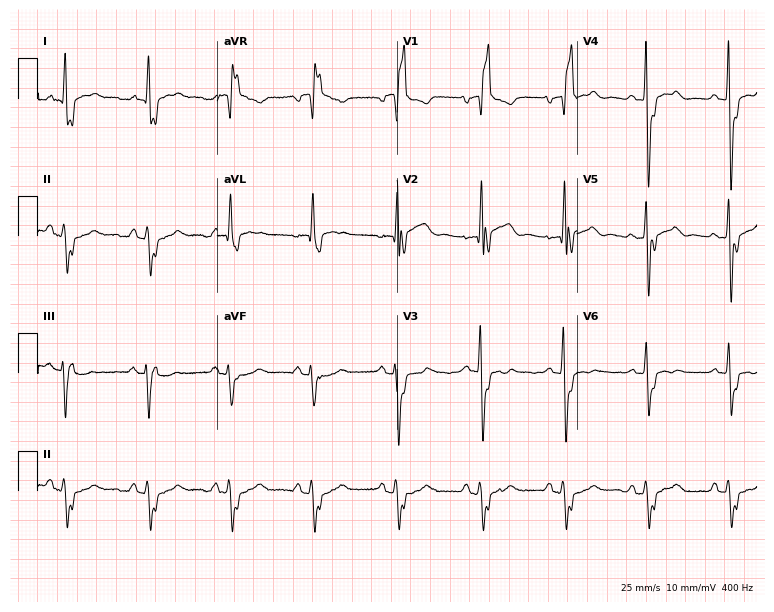
Electrocardiogram (7.3-second recording at 400 Hz), a 68-year-old male patient. Interpretation includes right bundle branch block.